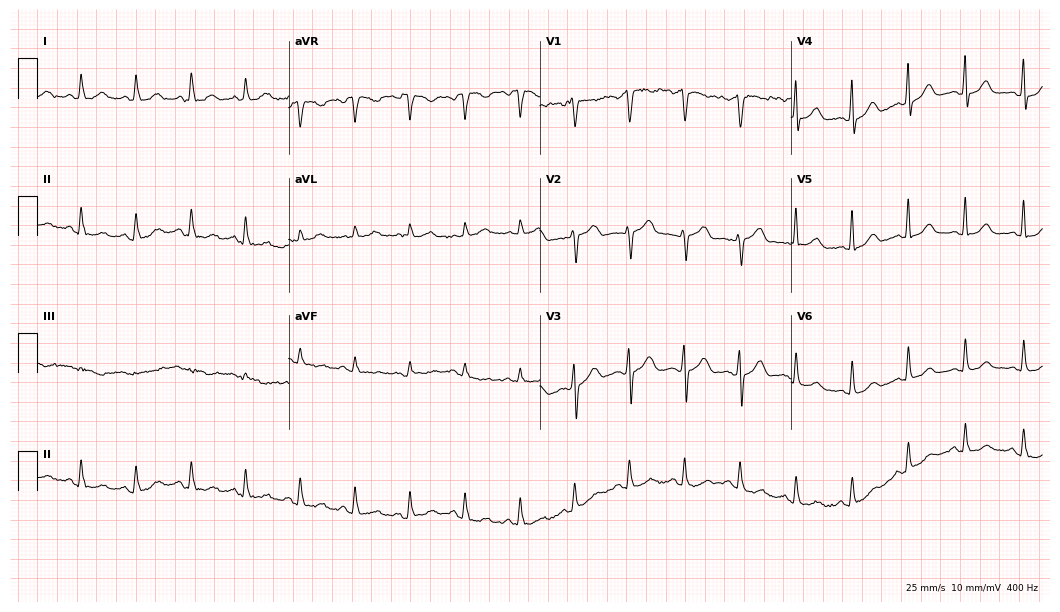
12-lead ECG (10.2-second recording at 400 Hz) from a 43-year-old female. Screened for six findings — first-degree AV block, right bundle branch block, left bundle branch block, sinus bradycardia, atrial fibrillation, sinus tachycardia — none is recorded. Other findings, if any, are not listed.